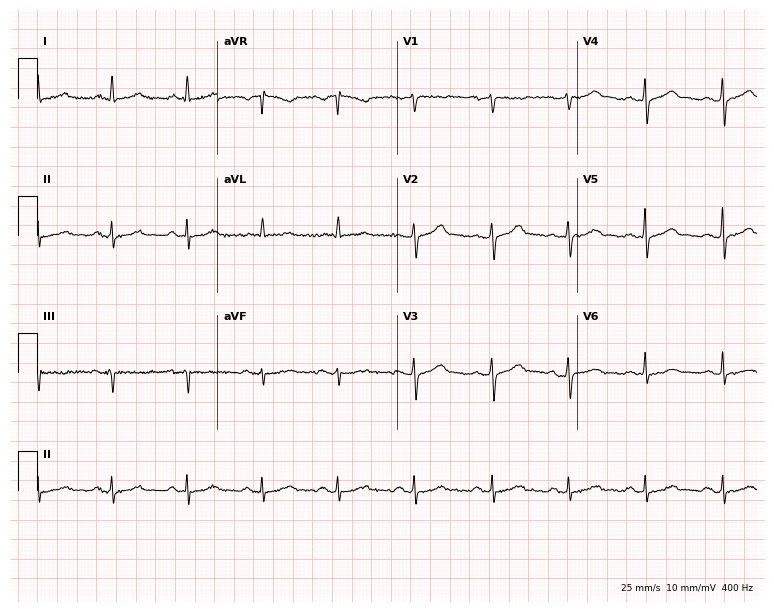
Electrocardiogram (7.3-second recording at 400 Hz), a male, 75 years old. Of the six screened findings (first-degree AV block, right bundle branch block, left bundle branch block, sinus bradycardia, atrial fibrillation, sinus tachycardia), none is recorded.